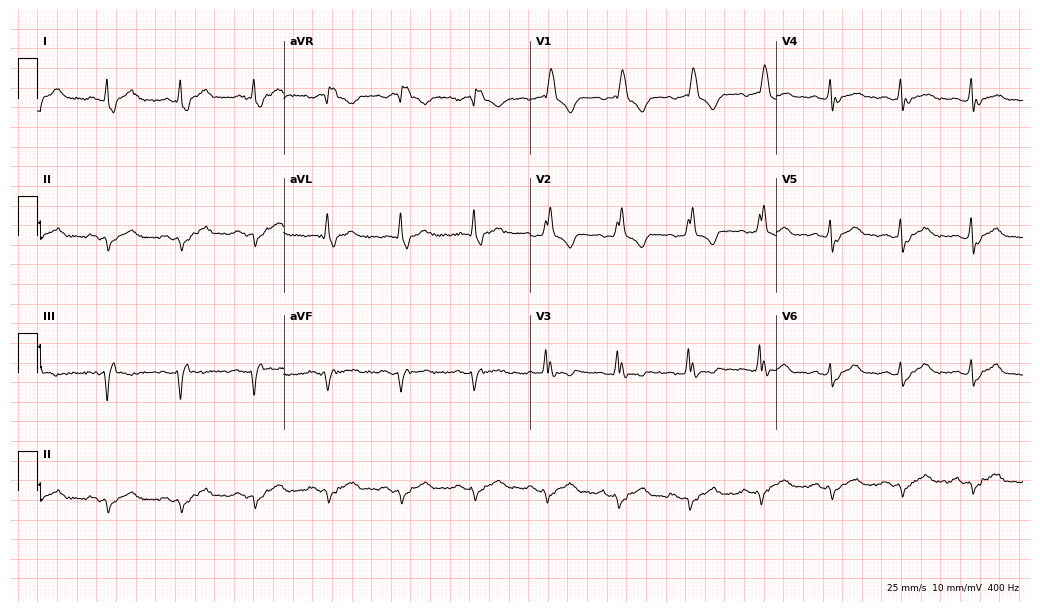
ECG (10-second recording at 400 Hz) — a male, 55 years old. Findings include right bundle branch block (RBBB).